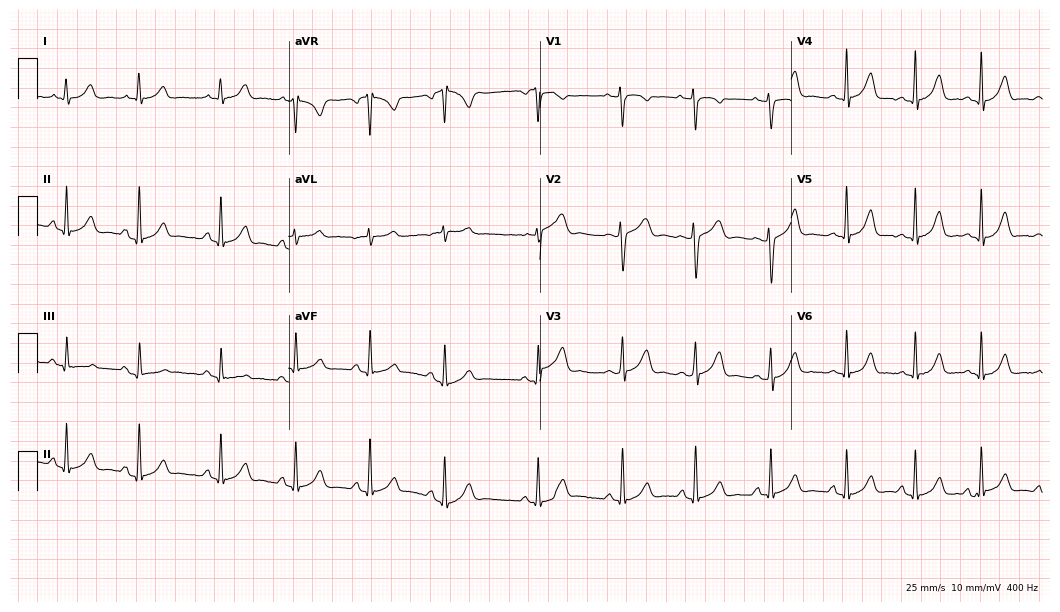
ECG — an 18-year-old female patient. Screened for six findings — first-degree AV block, right bundle branch block, left bundle branch block, sinus bradycardia, atrial fibrillation, sinus tachycardia — none is recorded.